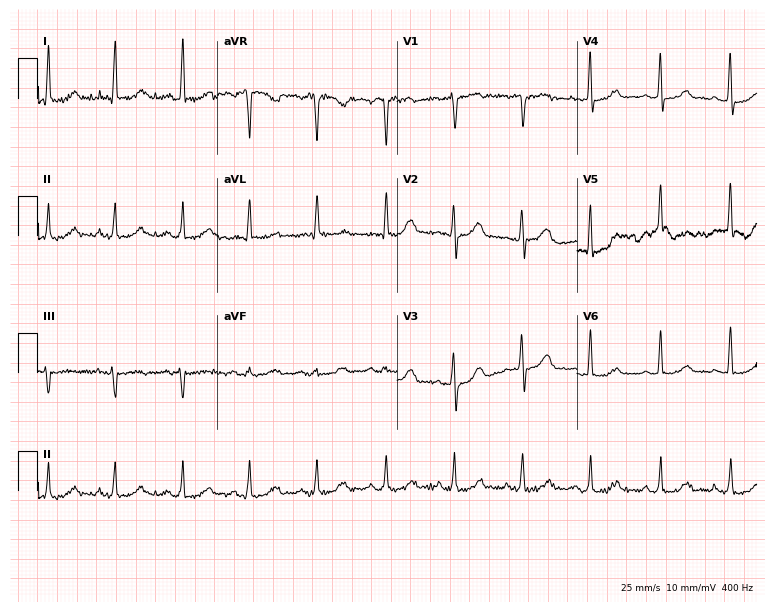
12-lead ECG from a female patient, 59 years old. Labelled as a normal ECG.